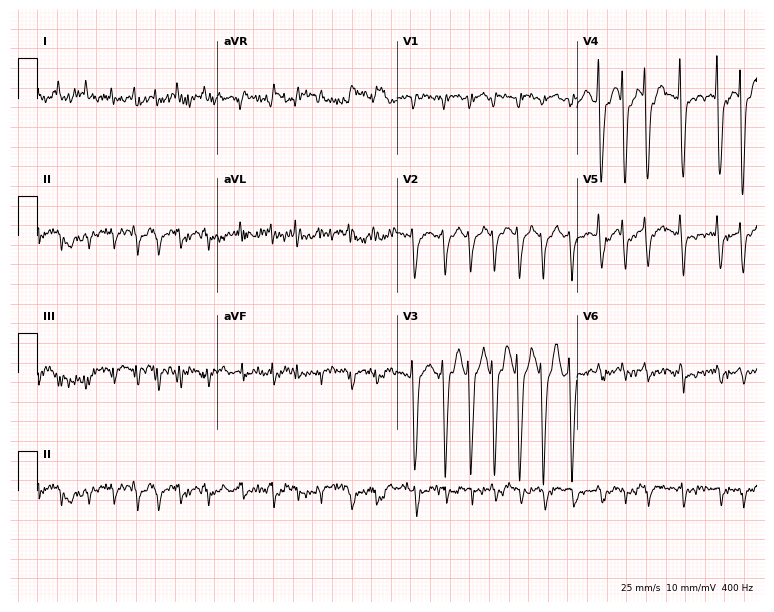
Resting 12-lead electrocardiogram. Patient: a 76-year-old woman. The tracing shows atrial fibrillation, sinus tachycardia (a sinus rate of 100 beats per minute or more).